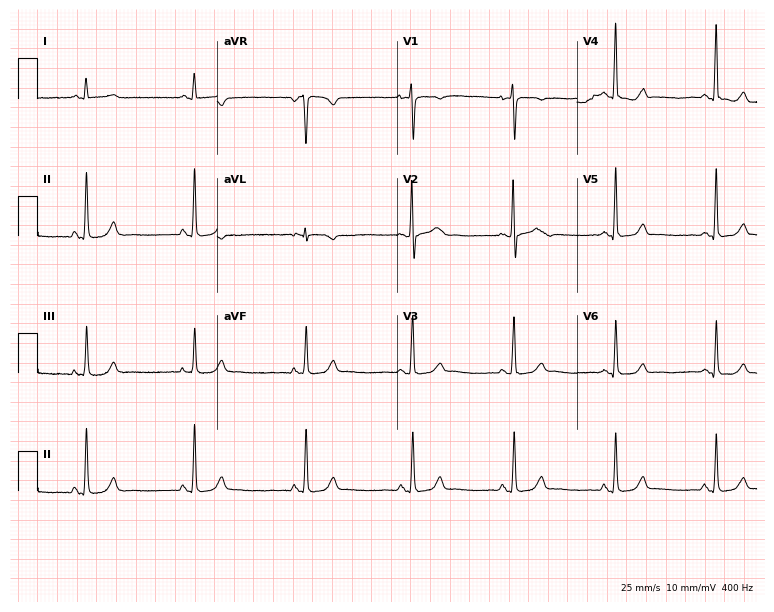
Resting 12-lead electrocardiogram (7.3-second recording at 400 Hz). Patient: a 19-year-old female. Read as a normal ECG.